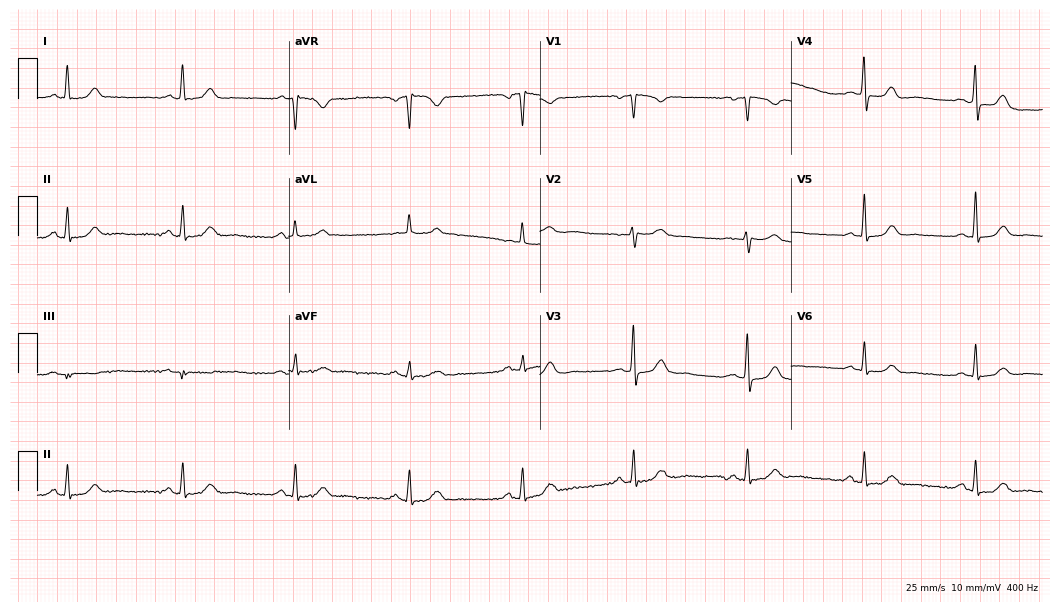
ECG — a woman, 64 years old. Labelled as a normal ECG.